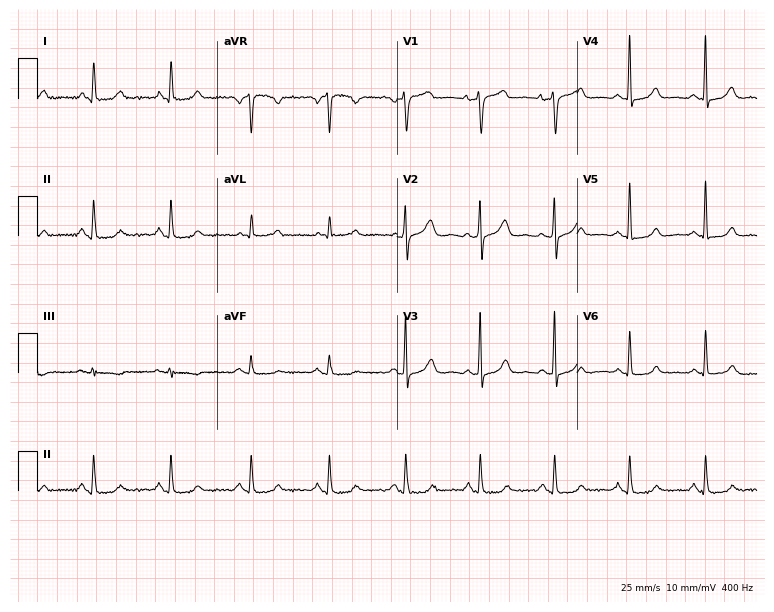
12-lead ECG (7.3-second recording at 400 Hz) from a 62-year-old female patient. Labelled as a normal ECG.